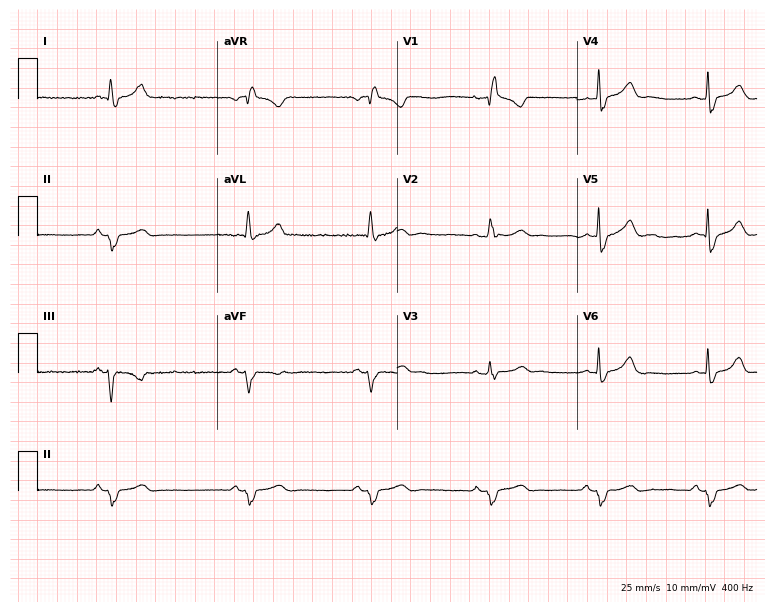
12-lead ECG from a female, 49 years old (7.3-second recording at 400 Hz). Shows right bundle branch block.